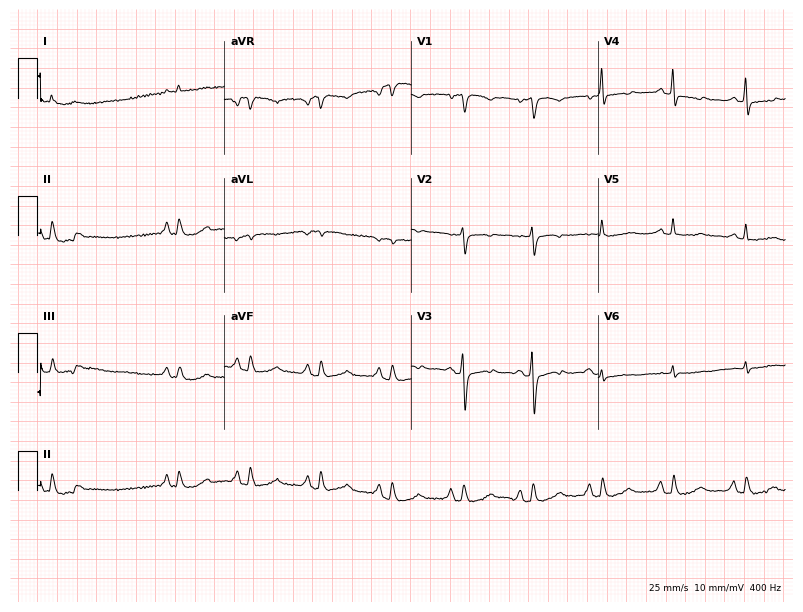
Electrocardiogram (7.6-second recording at 400 Hz), a 79-year-old woman. Of the six screened findings (first-degree AV block, right bundle branch block (RBBB), left bundle branch block (LBBB), sinus bradycardia, atrial fibrillation (AF), sinus tachycardia), none is recorded.